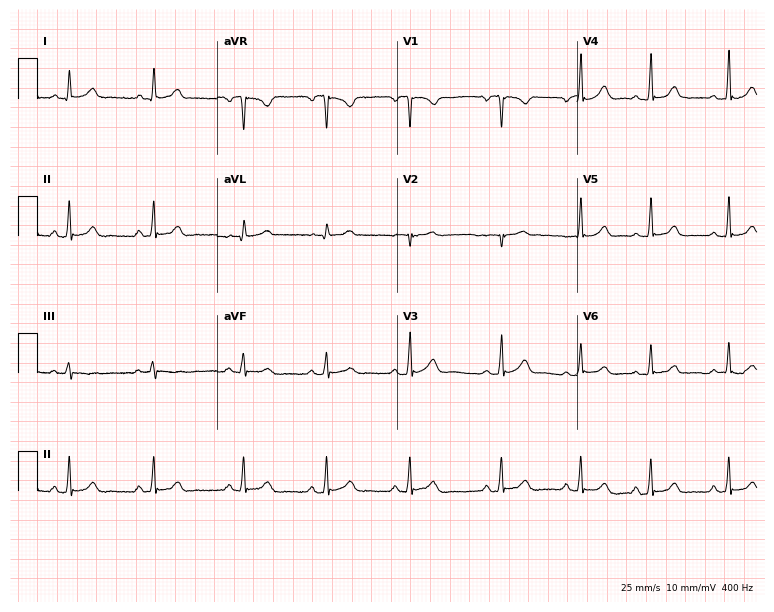
ECG (7.3-second recording at 400 Hz) — a female, 25 years old. Labelled as a normal ECG.